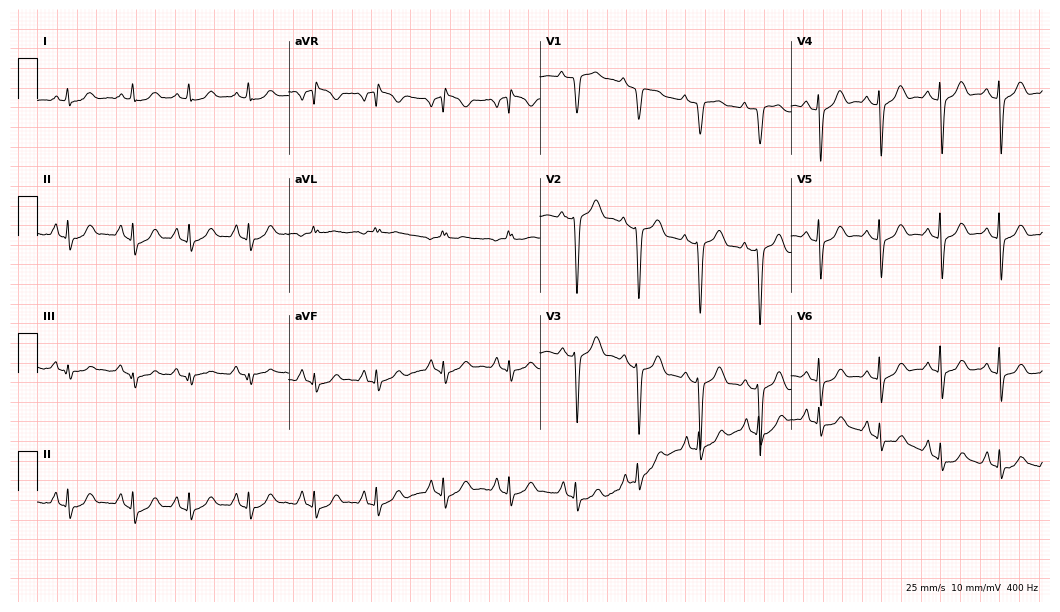
Resting 12-lead electrocardiogram. Patient: a female, 68 years old. None of these six findings is recorded: first-degree AV block, right bundle branch block, left bundle branch block, sinus bradycardia, atrial fibrillation, sinus tachycardia.